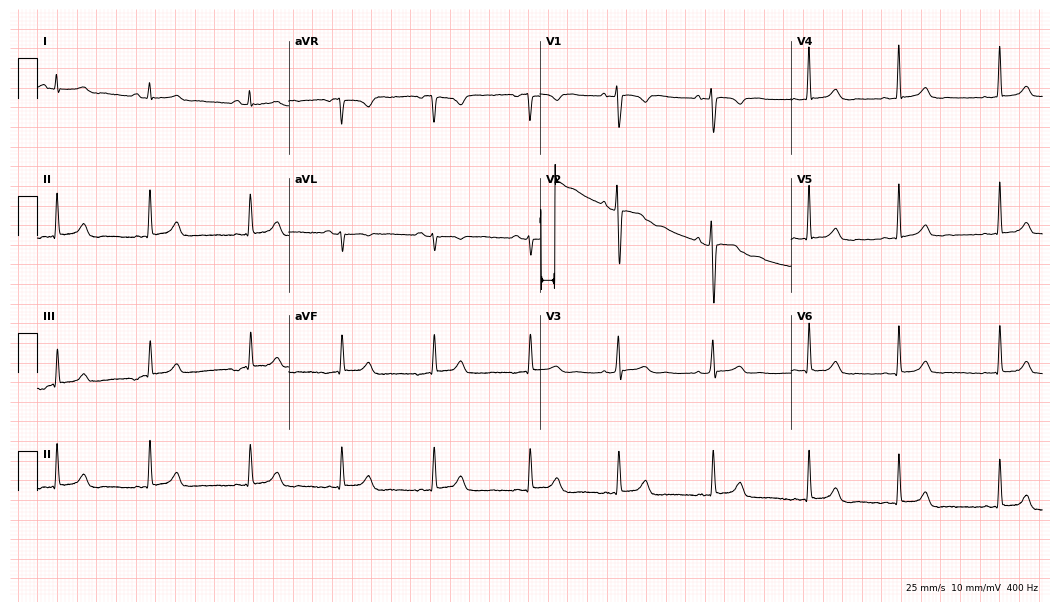
Standard 12-lead ECG recorded from a female patient, 22 years old. Read as a normal ECG.